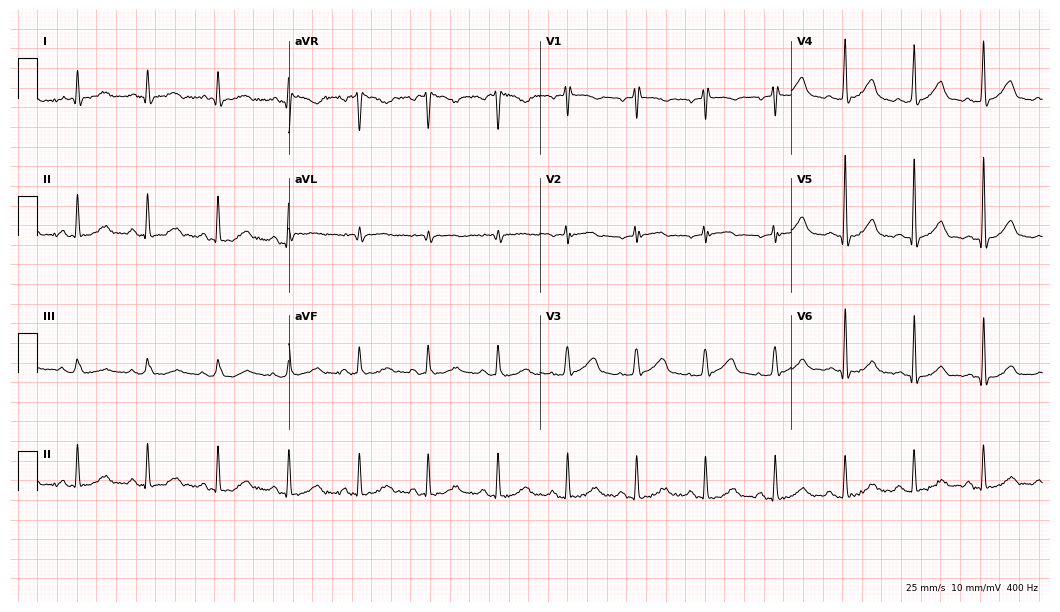
Electrocardiogram, a 76-year-old man. Of the six screened findings (first-degree AV block, right bundle branch block, left bundle branch block, sinus bradycardia, atrial fibrillation, sinus tachycardia), none is recorded.